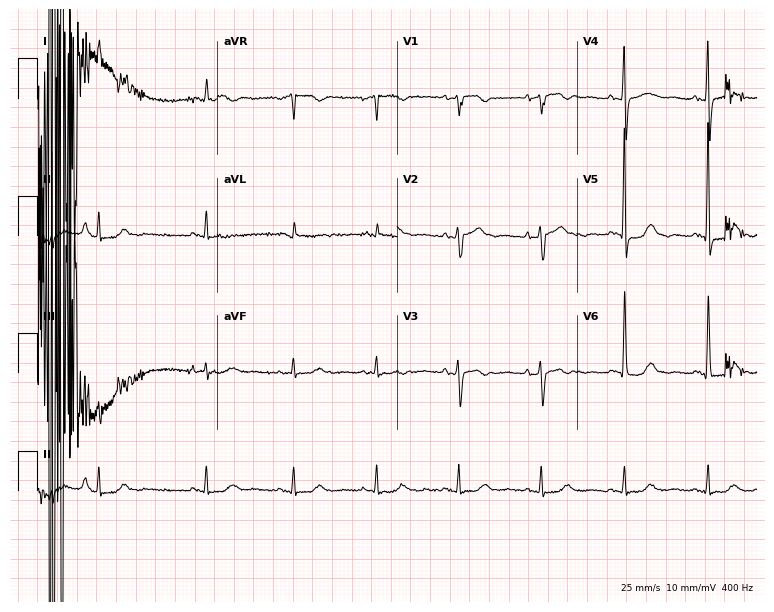
12-lead ECG from a 64-year-old woman (7.3-second recording at 400 Hz). No first-degree AV block, right bundle branch block (RBBB), left bundle branch block (LBBB), sinus bradycardia, atrial fibrillation (AF) or sinus tachycardia recorded for this tracing.